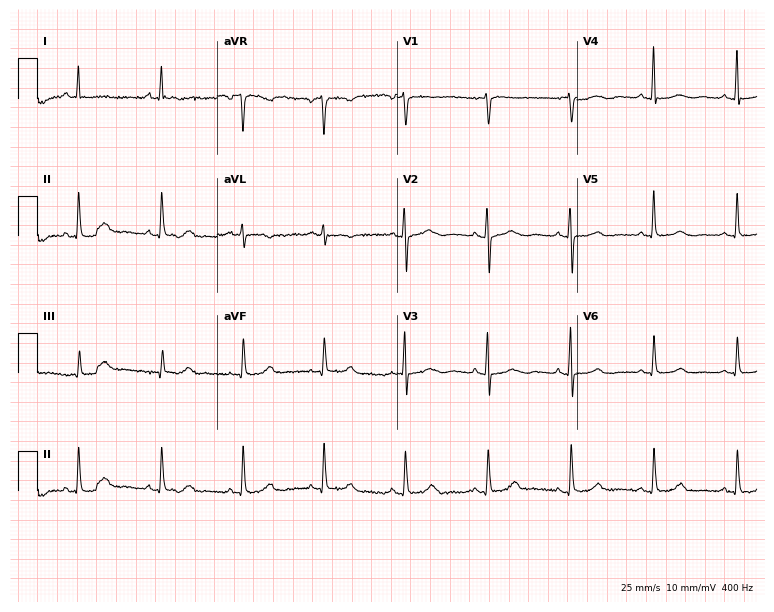
Electrocardiogram (7.3-second recording at 400 Hz), a 60-year-old woman. Of the six screened findings (first-degree AV block, right bundle branch block, left bundle branch block, sinus bradycardia, atrial fibrillation, sinus tachycardia), none is recorded.